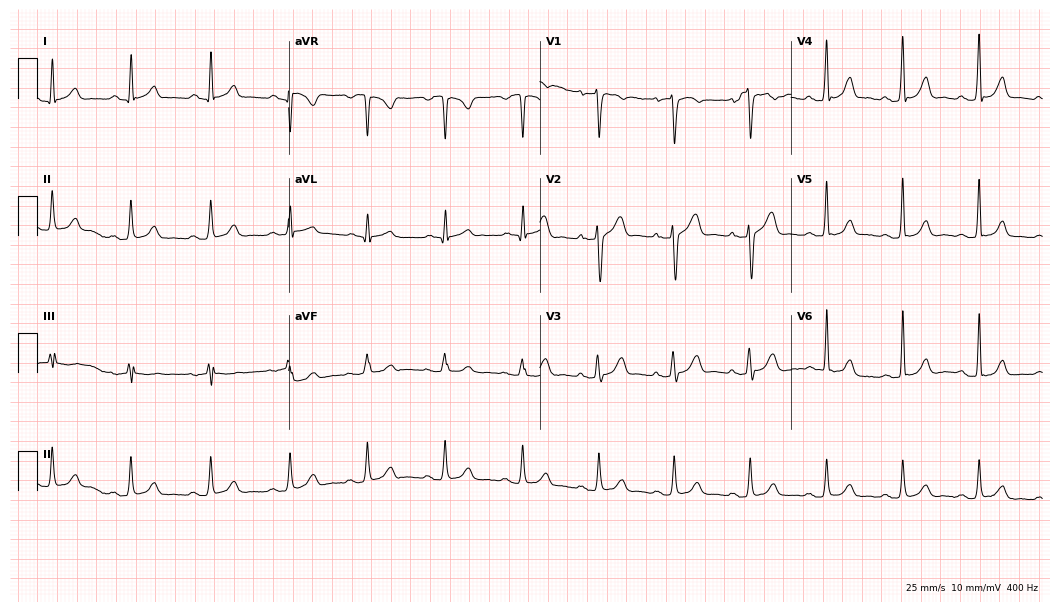
ECG (10.2-second recording at 400 Hz) — a man, 36 years old. Labelled as a normal ECG.